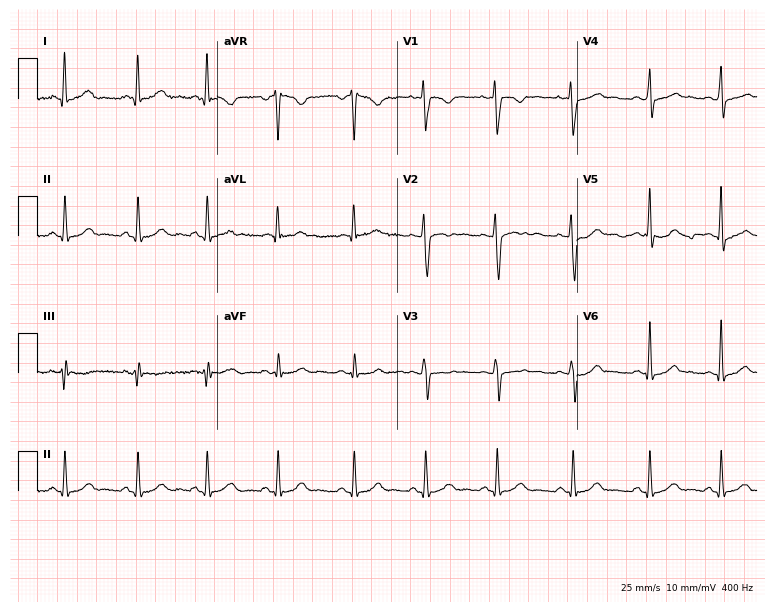
ECG — a 39-year-old female patient. Screened for six findings — first-degree AV block, right bundle branch block, left bundle branch block, sinus bradycardia, atrial fibrillation, sinus tachycardia — none is recorded. Only these six findings were labelled.